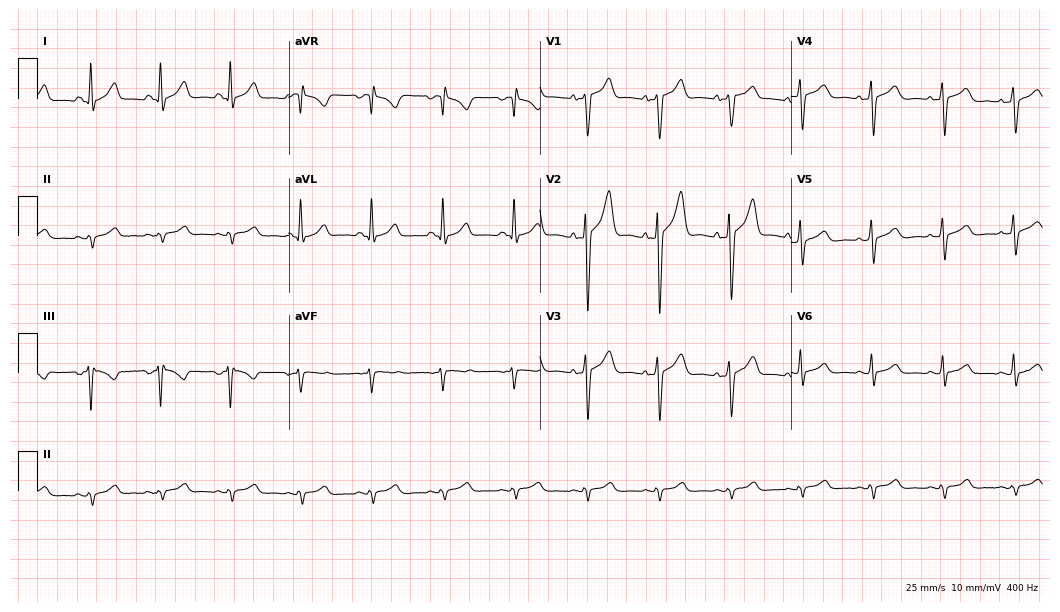
12-lead ECG (10.2-second recording at 400 Hz) from a 51-year-old man. Screened for six findings — first-degree AV block, right bundle branch block (RBBB), left bundle branch block (LBBB), sinus bradycardia, atrial fibrillation (AF), sinus tachycardia — none is recorded. Only these six findings were labelled.